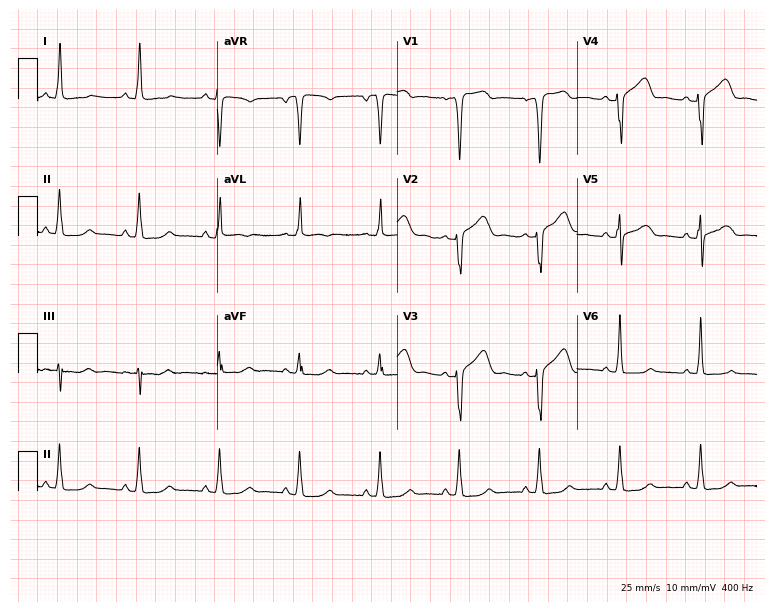
12-lead ECG from a 55-year-old female (7.3-second recording at 400 Hz). No first-degree AV block, right bundle branch block, left bundle branch block, sinus bradycardia, atrial fibrillation or sinus tachycardia recorded for this tracing.